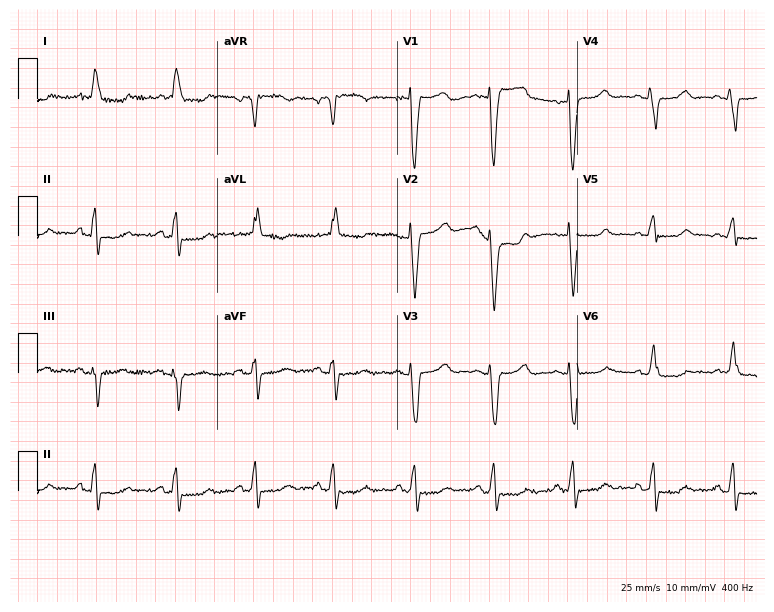
ECG (7.3-second recording at 400 Hz) — an 85-year-old woman. Findings include left bundle branch block (LBBB).